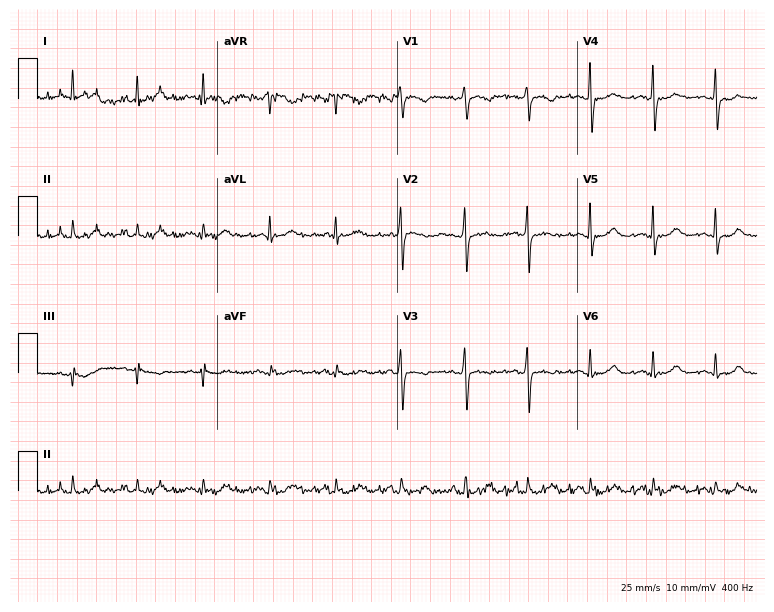
12-lead ECG from a 55-year-old woman. Screened for six findings — first-degree AV block, right bundle branch block, left bundle branch block, sinus bradycardia, atrial fibrillation, sinus tachycardia — none is recorded. Other findings, if any, are not listed.